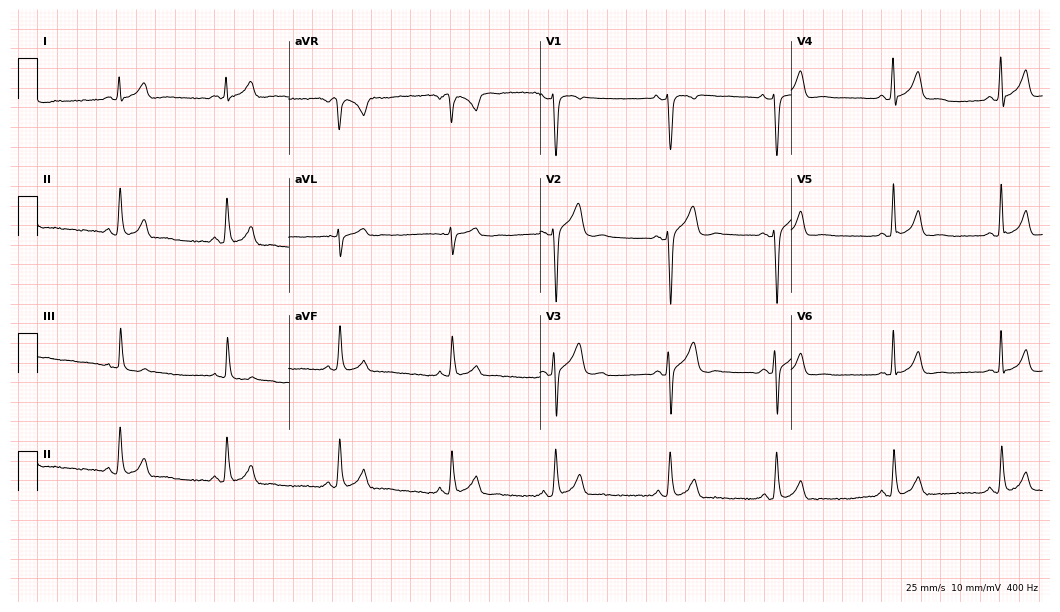
Standard 12-lead ECG recorded from a 34-year-old male patient (10.2-second recording at 400 Hz). None of these six findings is recorded: first-degree AV block, right bundle branch block (RBBB), left bundle branch block (LBBB), sinus bradycardia, atrial fibrillation (AF), sinus tachycardia.